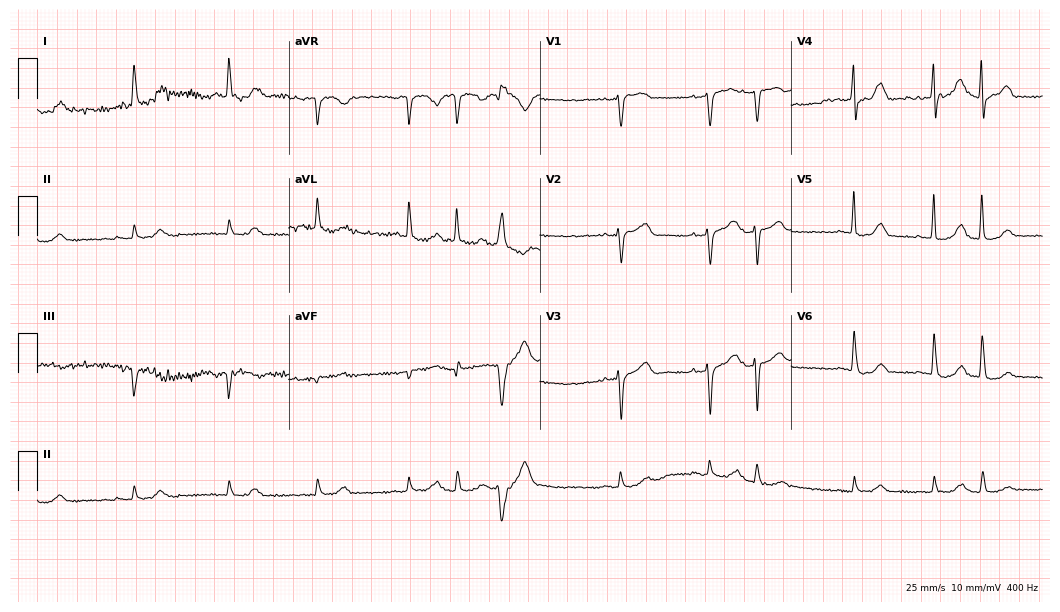
Electrocardiogram, a 78-year-old woman. Of the six screened findings (first-degree AV block, right bundle branch block (RBBB), left bundle branch block (LBBB), sinus bradycardia, atrial fibrillation (AF), sinus tachycardia), none is recorded. Findings outside these six are not listed.